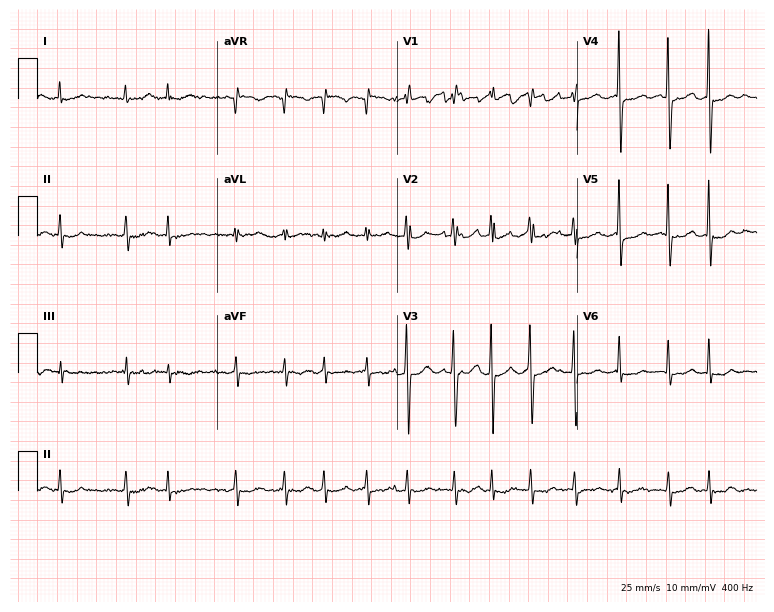
Resting 12-lead electrocardiogram (7.3-second recording at 400 Hz). Patient: a female, 83 years old. The tracing shows atrial fibrillation (AF).